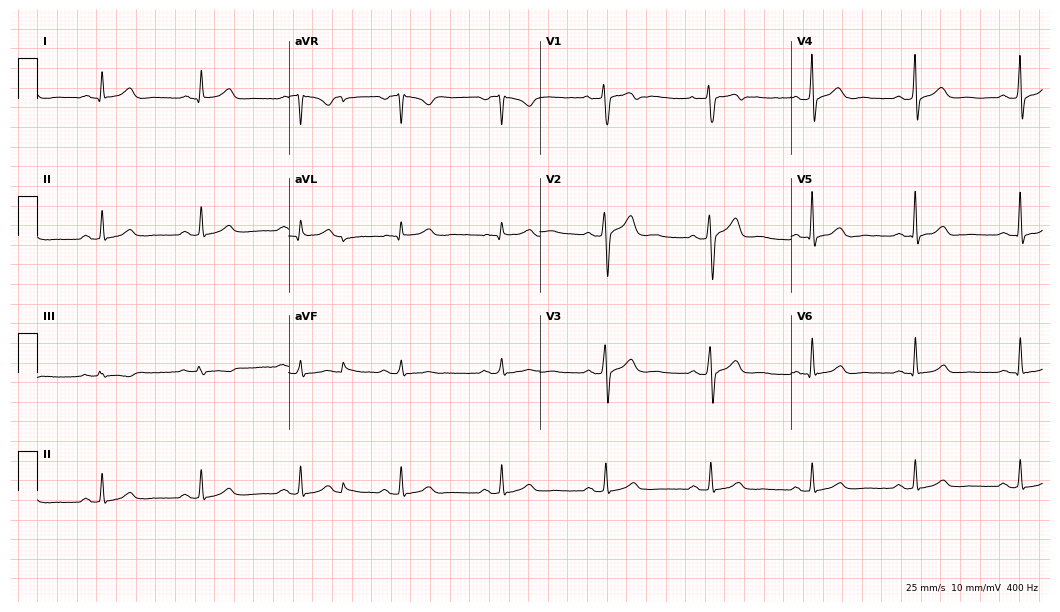
Resting 12-lead electrocardiogram (10.2-second recording at 400 Hz). Patient: a male, 41 years old. Read as a normal ECG.